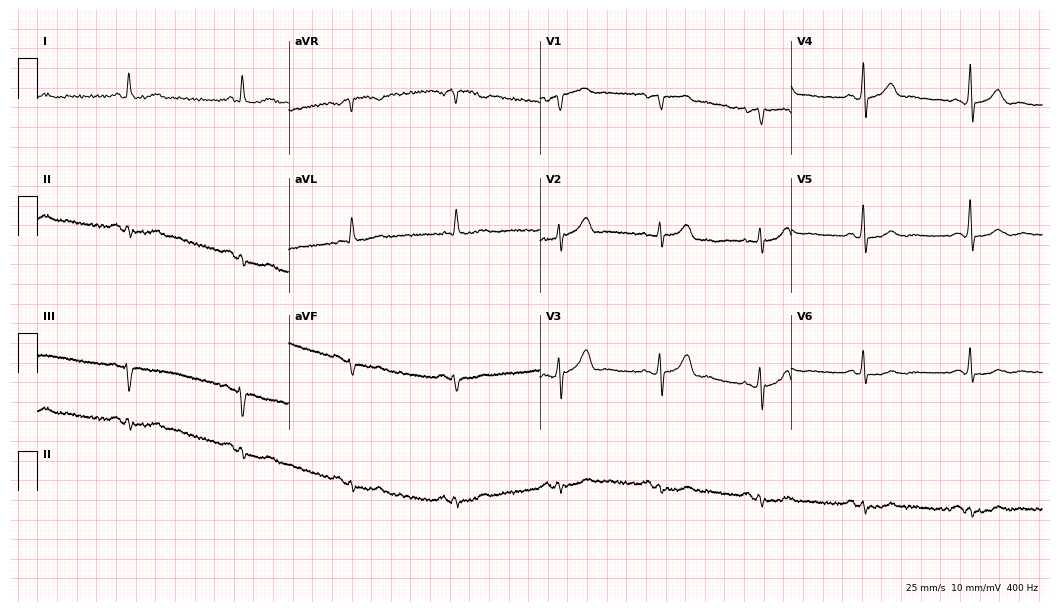
Electrocardiogram, a 77-year-old male patient. Of the six screened findings (first-degree AV block, right bundle branch block (RBBB), left bundle branch block (LBBB), sinus bradycardia, atrial fibrillation (AF), sinus tachycardia), none is recorded.